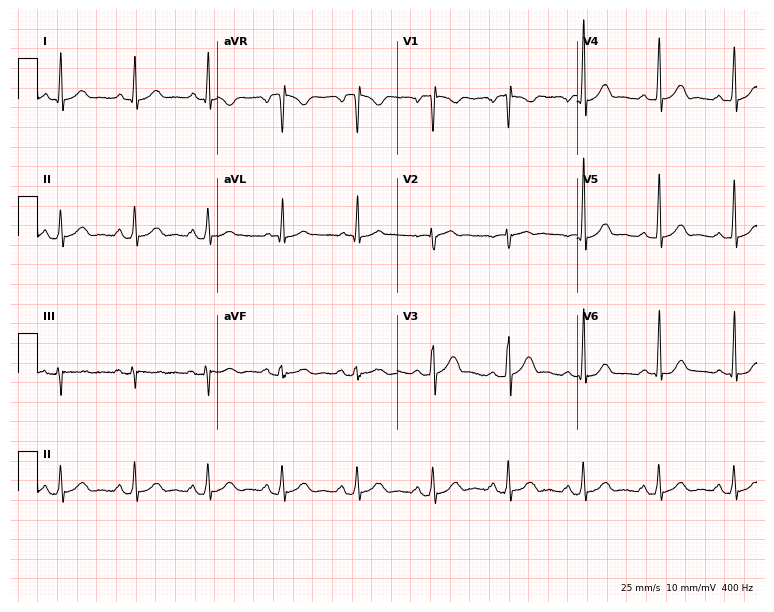
Standard 12-lead ECG recorded from a 41-year-old man. None of these six findings is recorded: first-degree AV block, right bundle branch block (RBBB), left bundle branch block (LBBB), sinus bradycardia, atrial fibrillation (AF), sinus tachycardia. Findings outside these six are not listed.